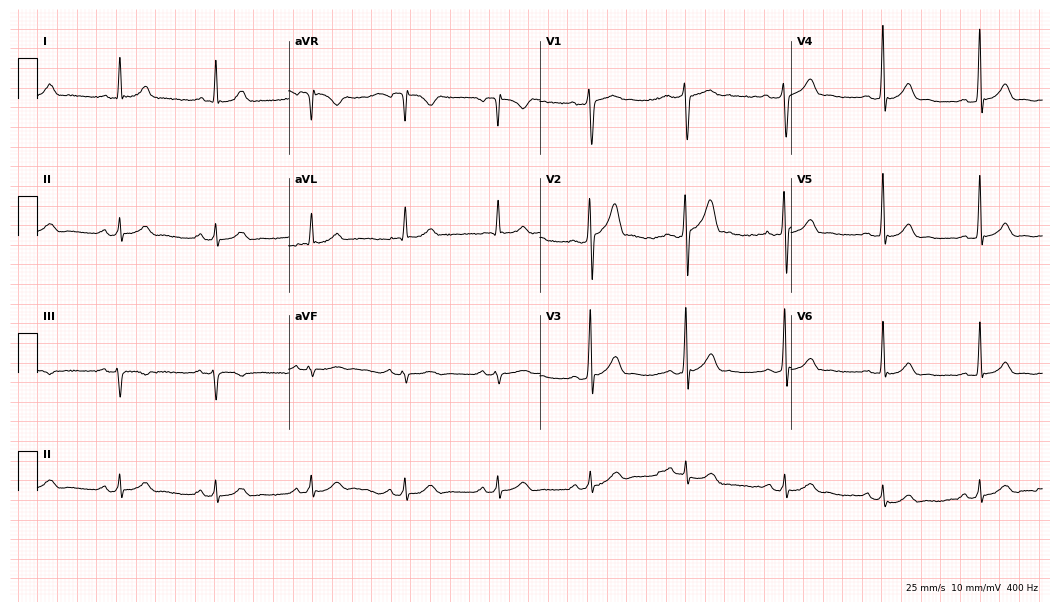
ECG — a male patient, 48 years old. Labelled as a normal ECG.